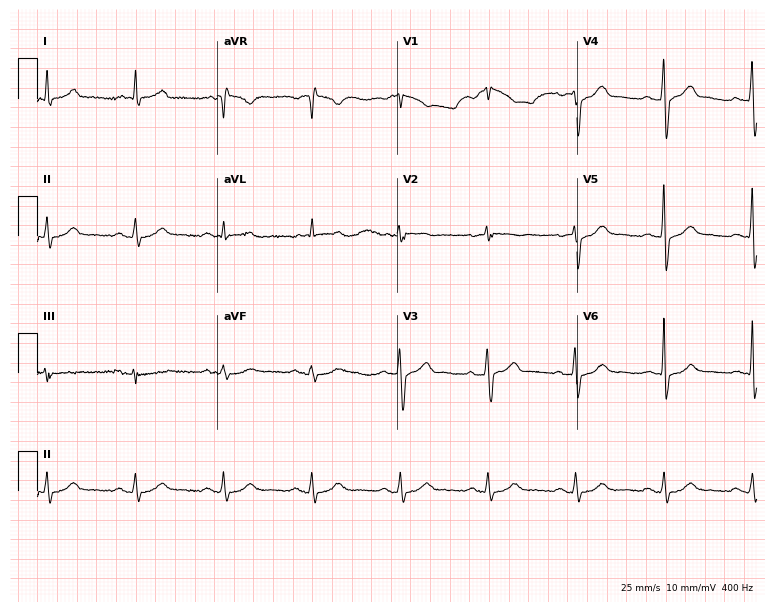
Standard 12-lead ECG recorded from an 80-year-old male patient (7.3-second recording at 400 Hz). Read as a normal ECG.